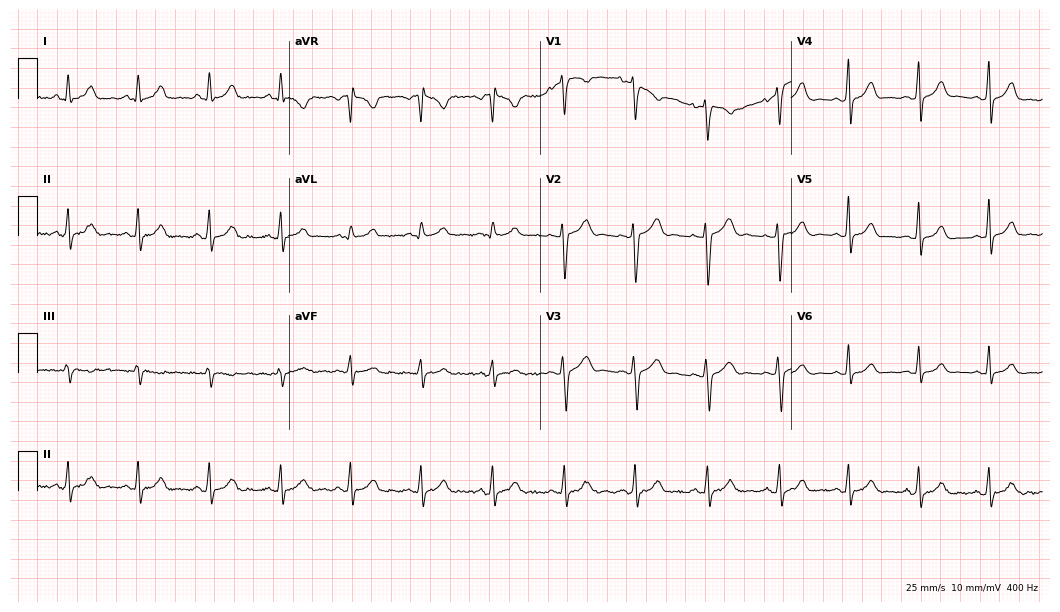
Standard 12-lead ECG recorded from a woman, 33 years old. Read as a normal ECG.